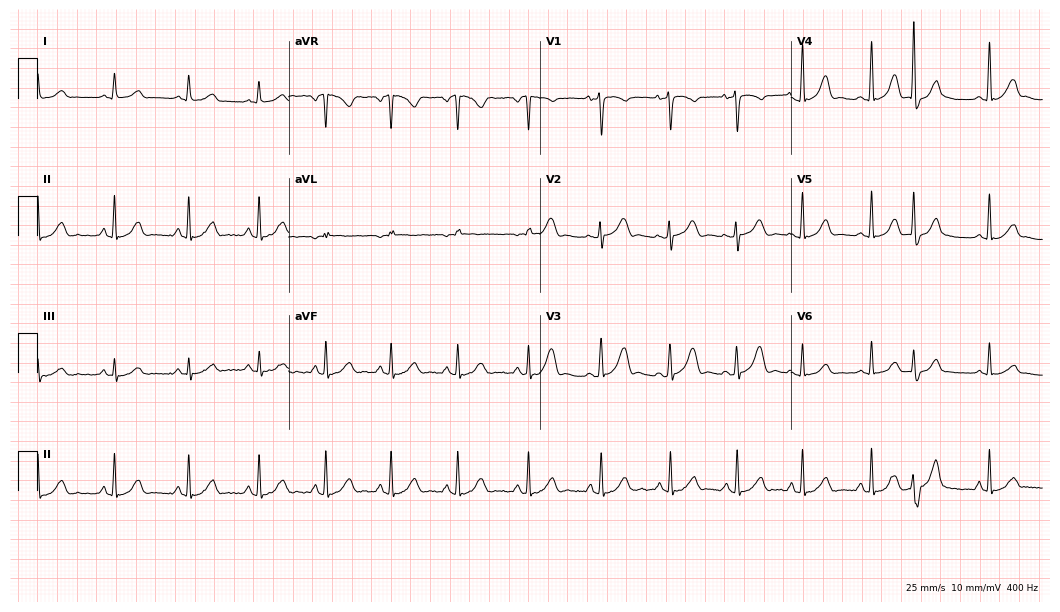
Resting 12-lead electrocardiogram (10.2-second recording at 400 Hz). Patient: a female, 18 years old. None of these six findings is recorded: first-degree AV block, right bundle branch block, left bundle branch block, sinus bradycardia, atrial fibrillation, sinus tachycardia. Other findings, if any, are not listed.